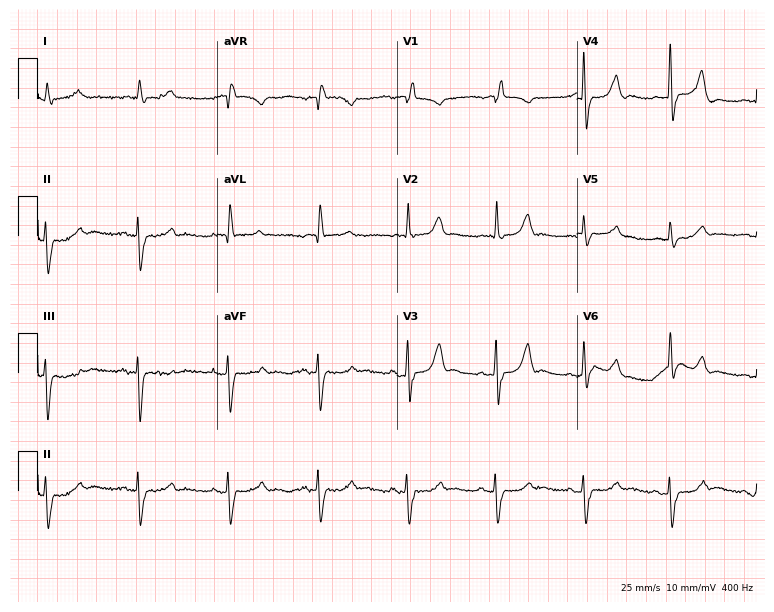
12-lead ECG from a female patient, 84 years old. No first-degree AV block, right bundle branch block (RBBB), left bundle branch block (LBBB), sinus bradycardia, atrial fibrillation (AF) or sinus tachycardia recorded for this tracing. Only these six findings were labelled.